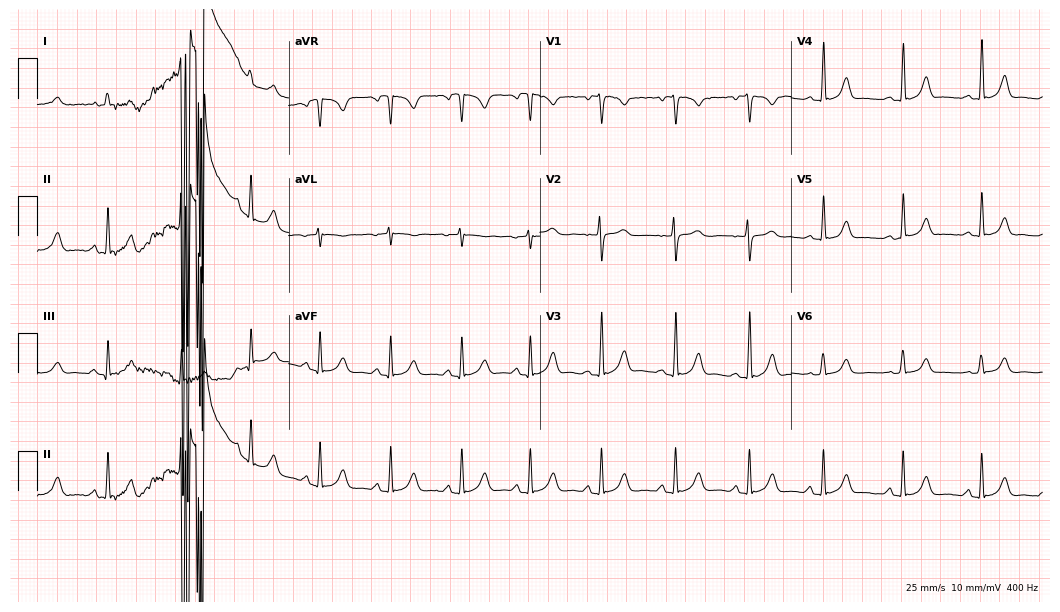
Electrocardiogram (10.2-second recording at 400 Hz), a 24-year-old woman. Of the six screened findings (first-degree AV block, right bundle branch block (RBBB), left bundle branch block (LBBB), sinus bradycardia, atrial fibrillation (AF), sinus tachycardia), none is recorded. Findings outside these six are not listed.